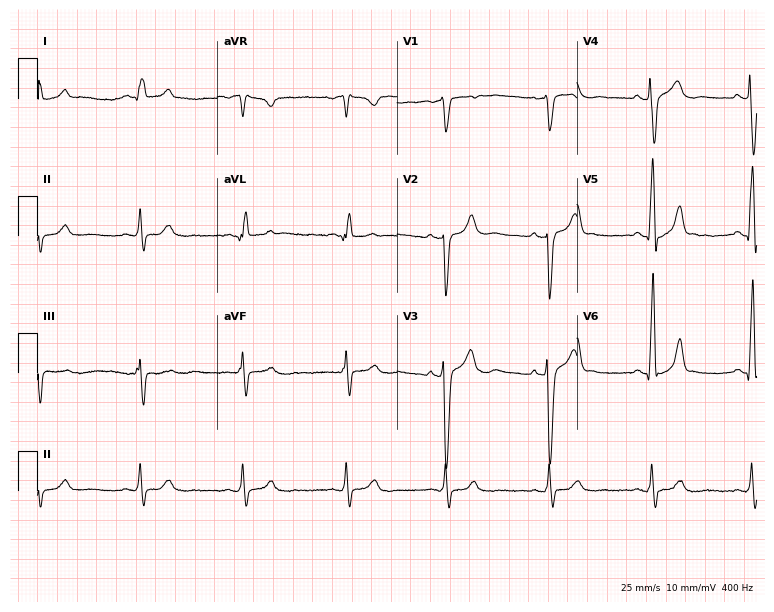
Resting 12-lead electrocardiogram. Patient: a 66-year-old man. None of these six findings is recorded: first-degree AV block, right bundle branch block, left bundle branch block, sinus bradycardia, atrial fibrillation, sinus tachycardia.